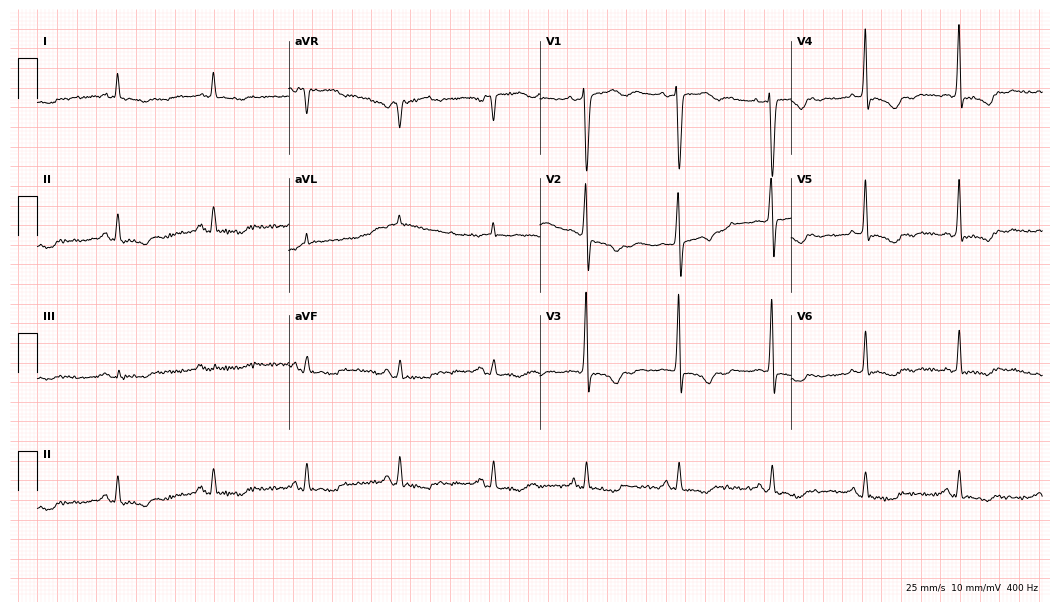
Electrocardiogram, an 85-year-old male patient. Of the six screened findings (first-degree AV block, right bundle branch block, left bundle branch block, sinus bradycardia, atrial fibrillation, sinus tachycardia), none is recorded. Only these six findings were labelled.